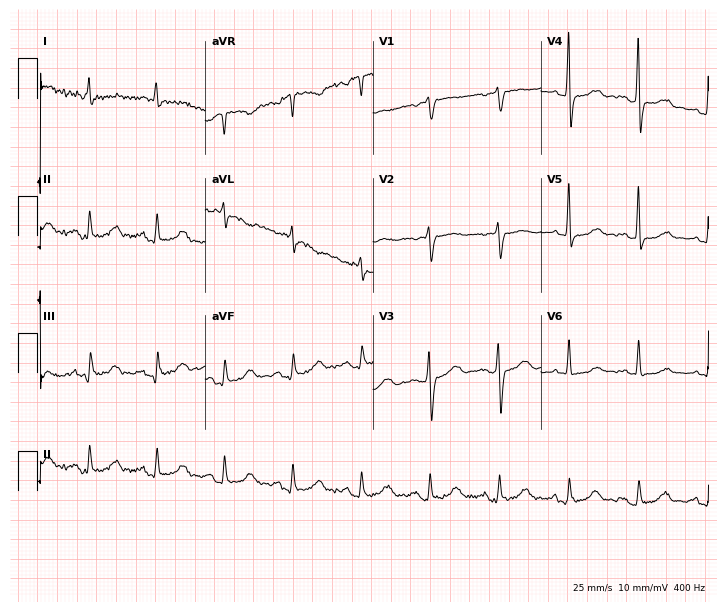
Standard 12-lead ECG recorded from a 78-year-old woman. None of these six findings is recorded: first-degree AV block, right bundle branch block (RBBB), left bundle branch block (LBBB), sinus bradycardia, atrial fibrillation (AF), sinus tachycardia.